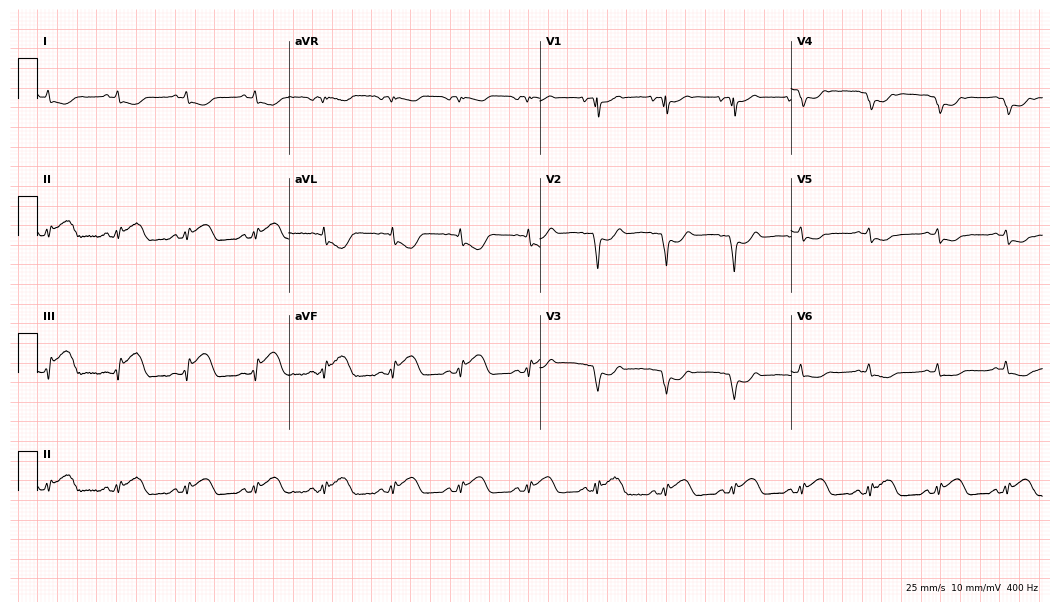
12-lead ECG from an 84-year-old male. Screened for six findings — first-degree AV block, right bundle branch block (RBBB), left bundle branch block (LBBB), sinus bradycardia, atrial fibrillation (AF), sinus tachycardia — none is recorded. Other findings, if any, are not listed.